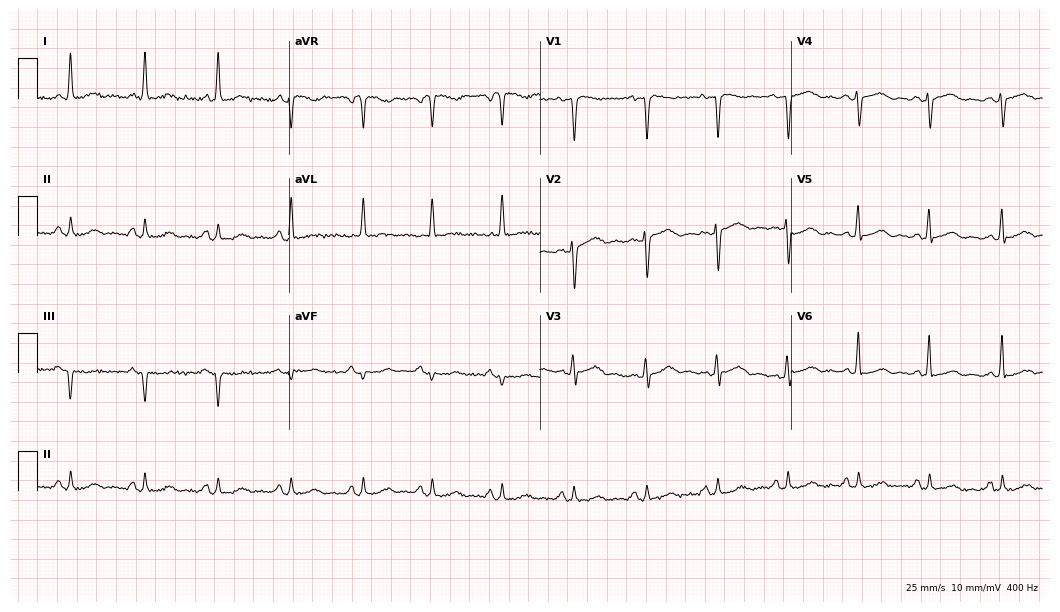
12-lead ECG from a woman, 52 years old. Screened for six findings — first-degree AV block, right bundle branch block, left bundle branch block, sinus bradycardia, atrial fibrillation, sinus tachycardia — none is recorded.